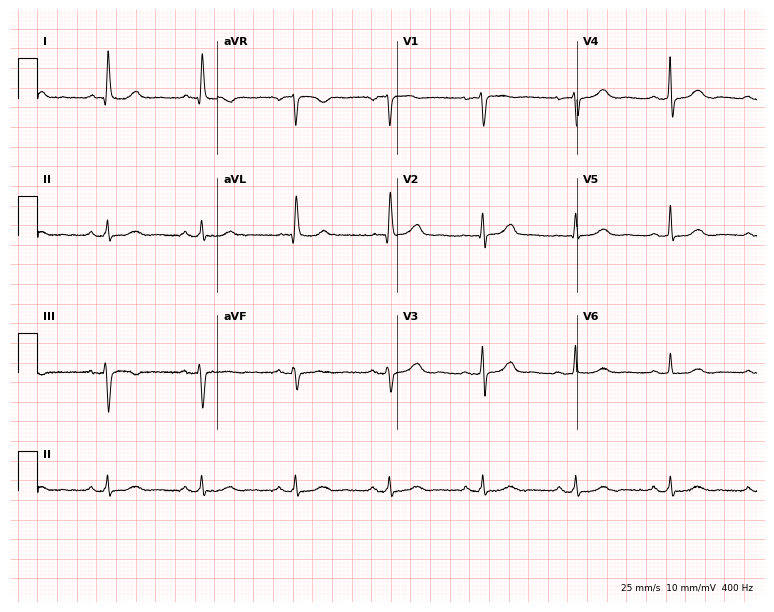
ECG — a woman, 71 years old. Screened for six findings — first-degree AV block, right bundle branch block, left bundle branch block, sinus bradycardia, atrial fibrillation, sinus tachycardia — none is recorded.